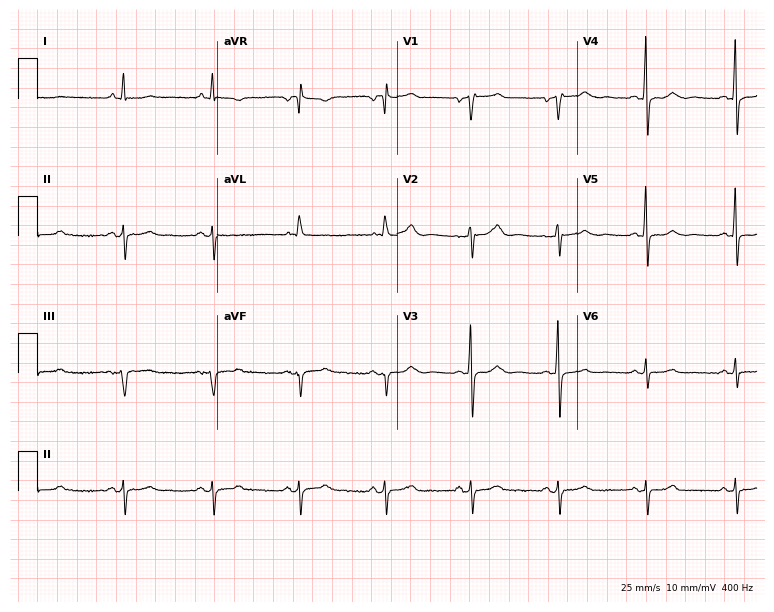
12-lead ECG from a woman, 63 years old. Screened for six findings — first-degree AV block, right bundle branch block, left bundle branch block, sinus bradycardia, atrial fibrillation, sinus tachycardia — none is recorded. Findings outside these six are not listed.